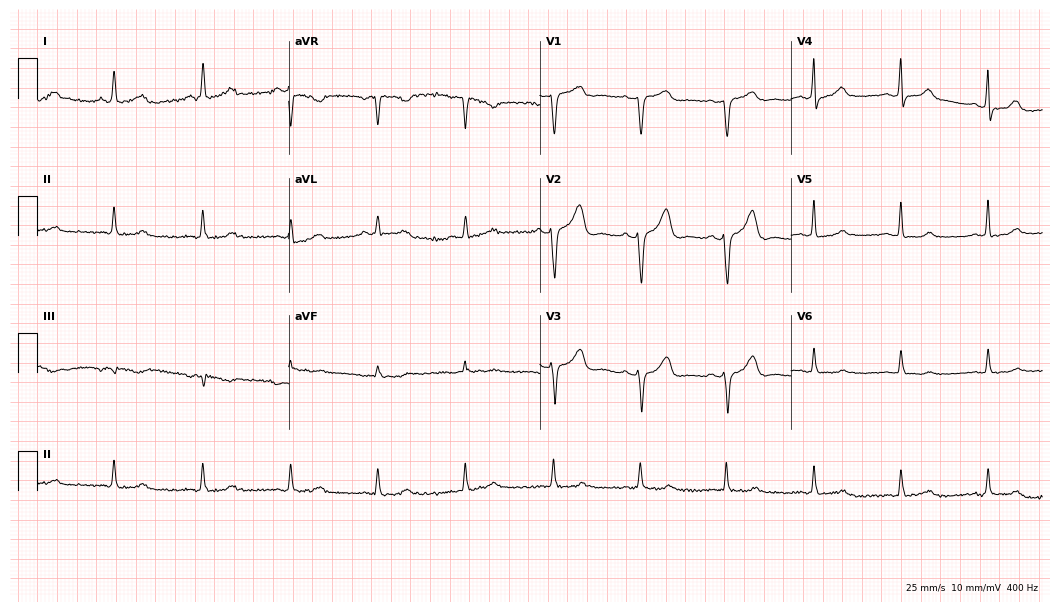
12-lead ECG from a 60-year-old female patient. Screened for six findings — first-degree AV block, right bundle branch block, left bundle branch block, sinus bradycardia, atrial fibrillation, sinus tachycardia — none is recorded.